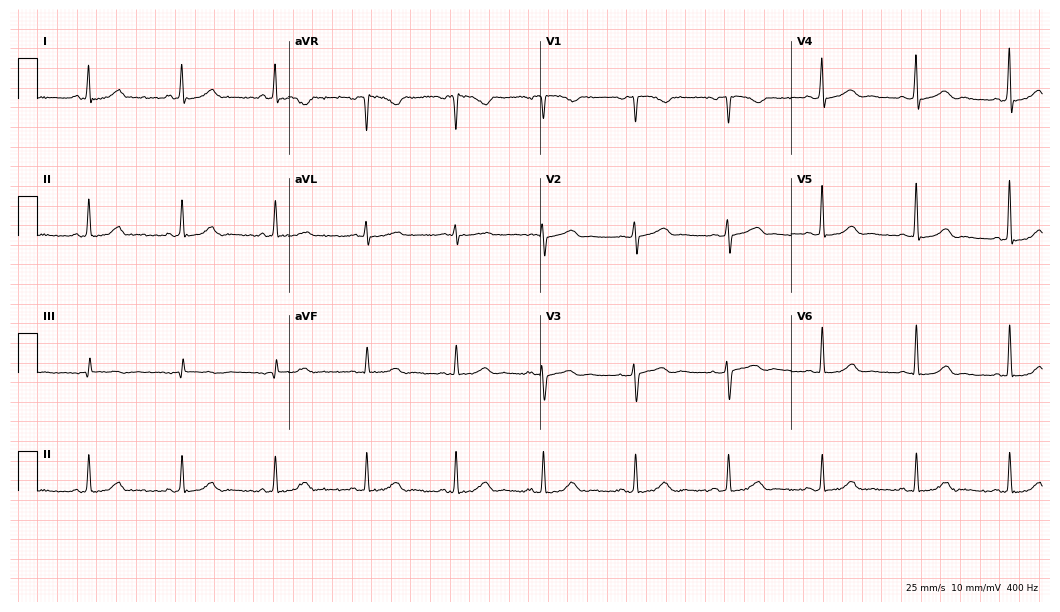
12-lead ECG from a female patient, 56 years old. Labelled as a normal ECG.